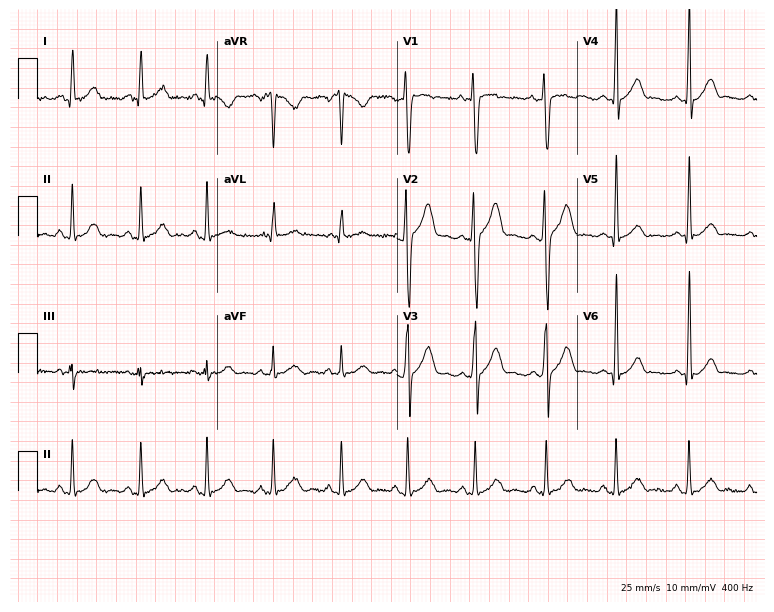
Electrocardiogram, a male patient, 25 years old. Of the six screened findings (first-degree AV block, right bundle branch block (RBBB), left bundle branch block (LBBB), sinus bradycardia, atrial fibrillation (AF), sinus tachycardia), none is recorded.